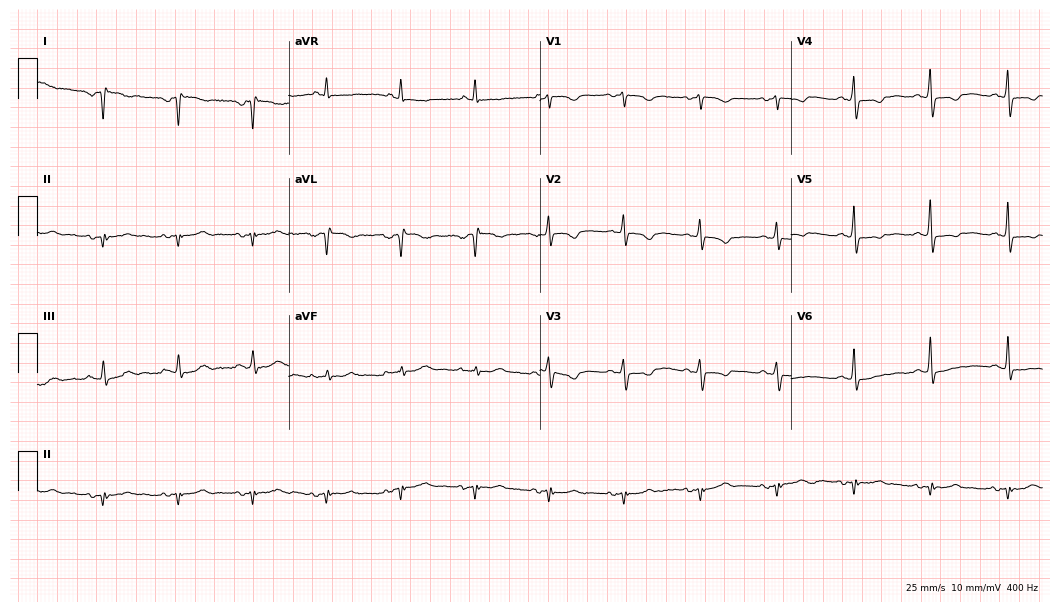
Standard 12-lead ECG recorded from a female patient, 52 years old. None of these six findings is recorded: first-degree AV block, right bundle branch block (RBBB), left bundle branch block (LBBB), sinus bradycardia, atrial fibrillation (AF), sinus tachycardia.